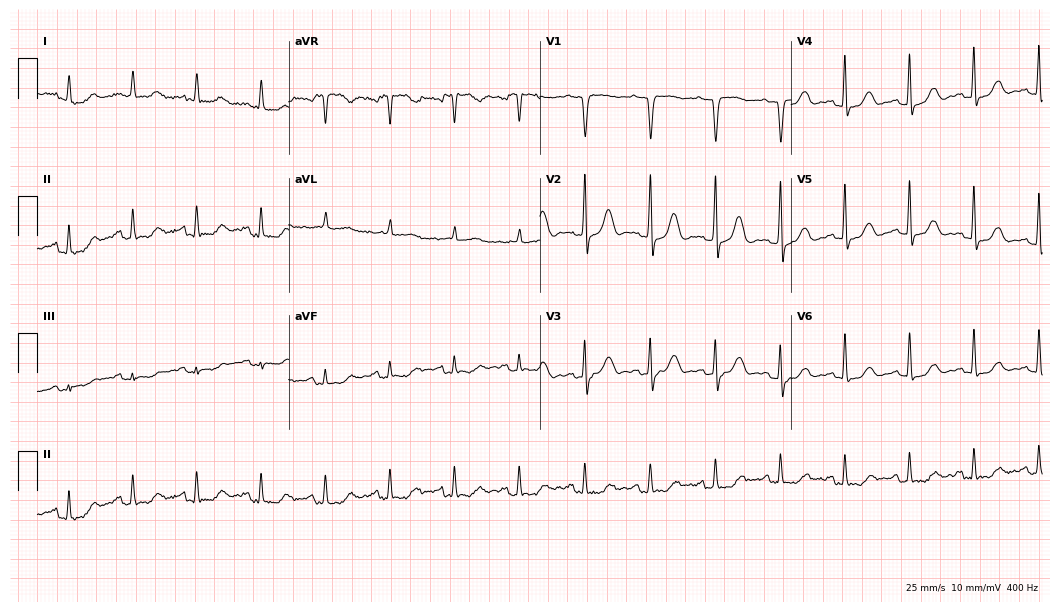
12-lead ECG from a female patient, 74 years old. Labelled as a normal ECG.